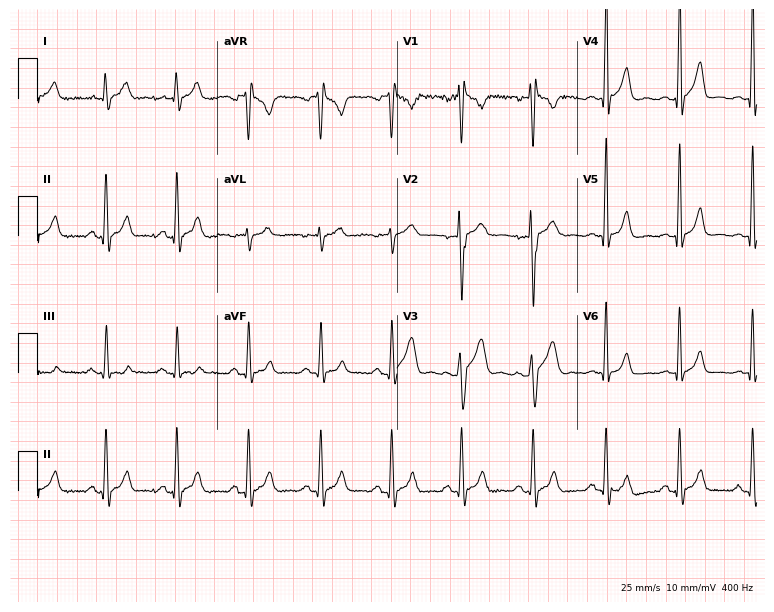
Standard 12-lead ECG recorded from a 24-year-old man (7.3-second recording at 400 Hz). None of these six findings is recorded: first-degree AV block, right bundle branch block, left bundle branch block, sinus bradycardia, atrial fibrillation, sinus tachycardia. Other findings, if any, are not listed.